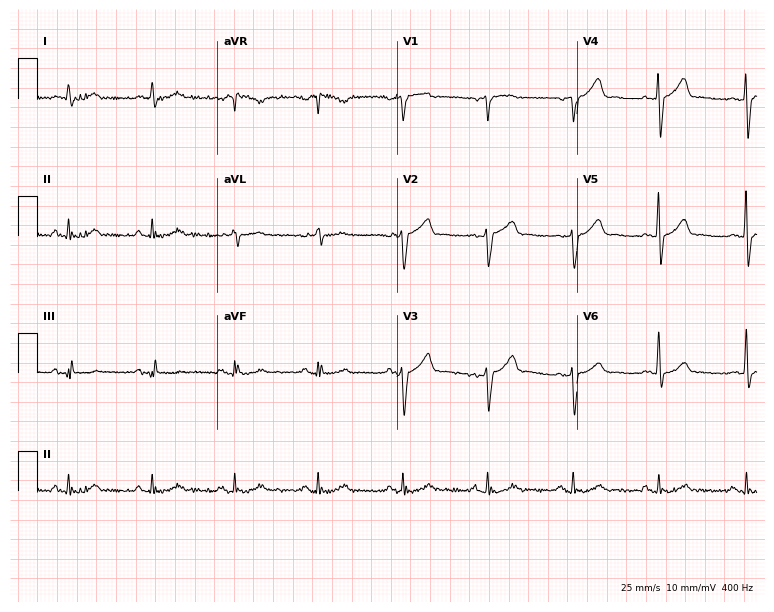
12-lead ECG from a 71-year-old man. No first-degree AV block, right bundle branch block, left bundle branch block, sinus bradycardia, atrial fibrillation or sinus tachycardia recorded for this tracing.